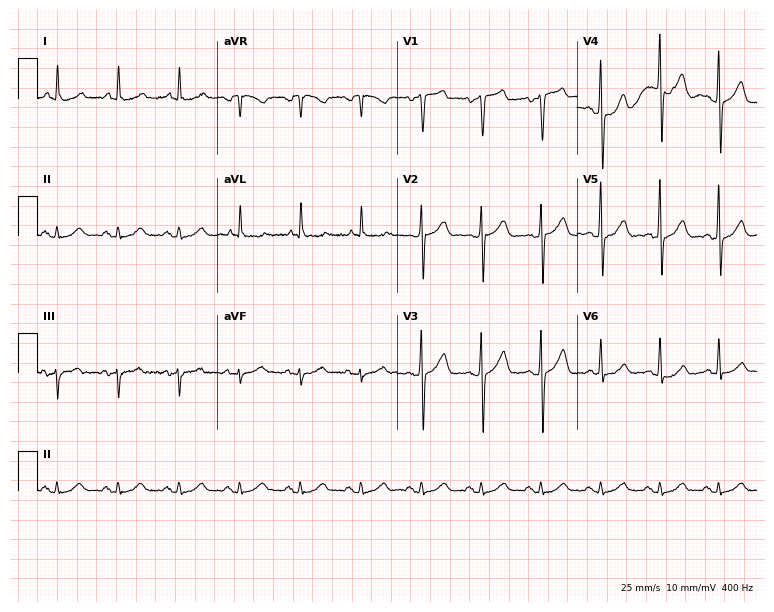
Standard 12-lead ECG recorded from a 59-year-old man (7.3-second recording at 400 Hz). Read as a normal ECG.